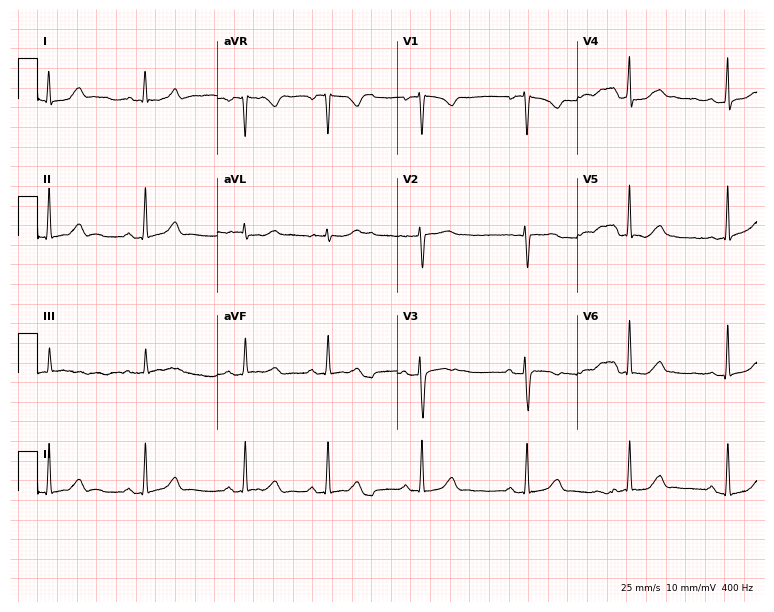
Electrocardiogram, a 23-year-old female. Overall reading on record: normal ECG.